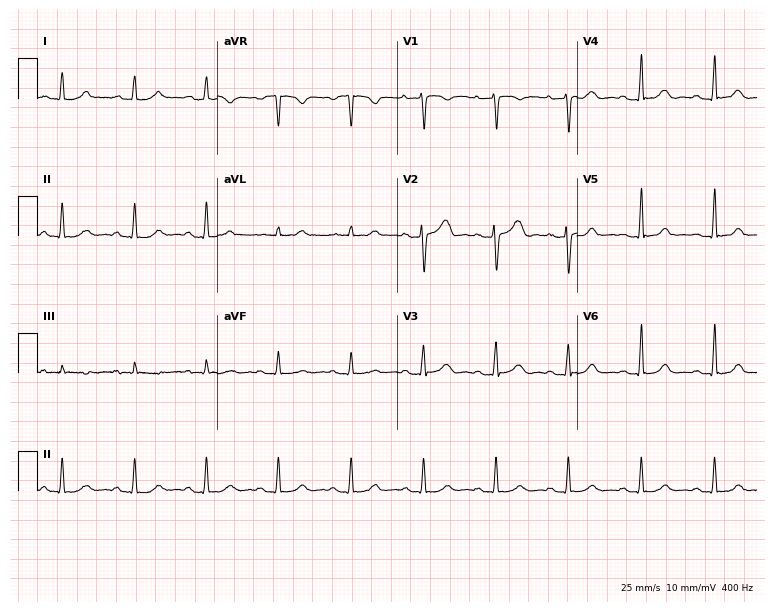
12-lead ECG from a woman, 38 years old. Labelled as a normal ECG.